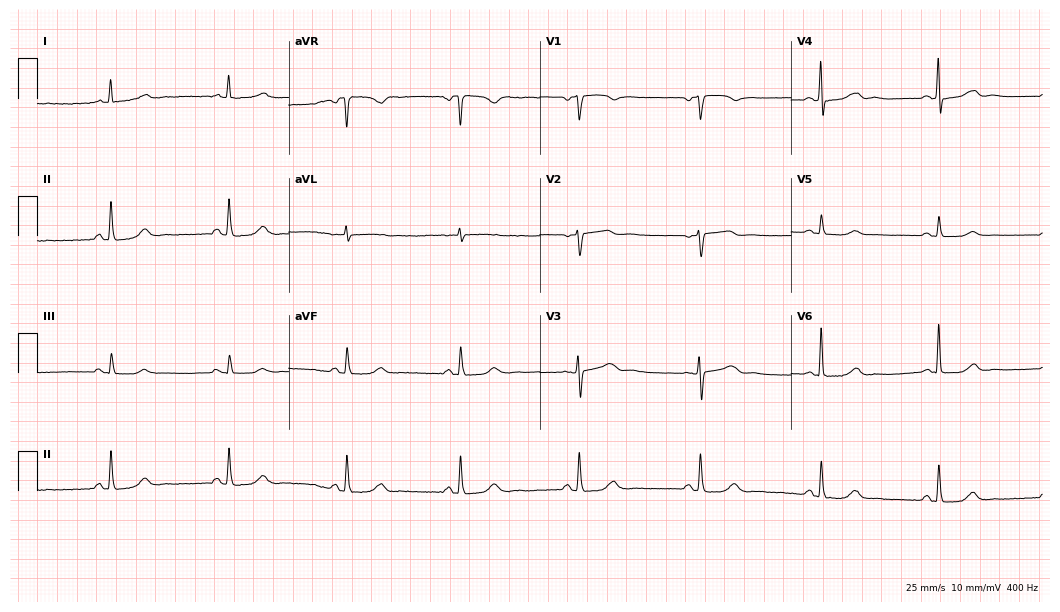
Electrocardiogram, a 76-year-old female patient. Interpretation includes sinus bradycardia (a sinus rate of 50 beats per minute or less).